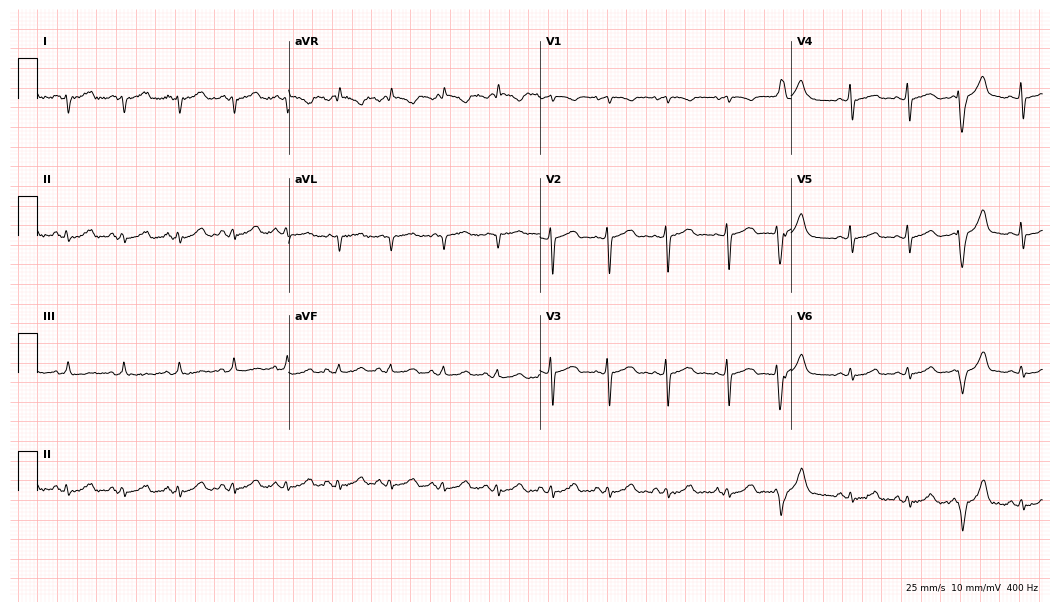
12-lead ECG from a female patient, 36 years old. Screened for six findings — first-degree AV block, right bundle branch block, left bundle branch block, sinus bradycardia, atrial fibrillation, sinus tachycardia — none is recorded. Only these six findings were labelled.